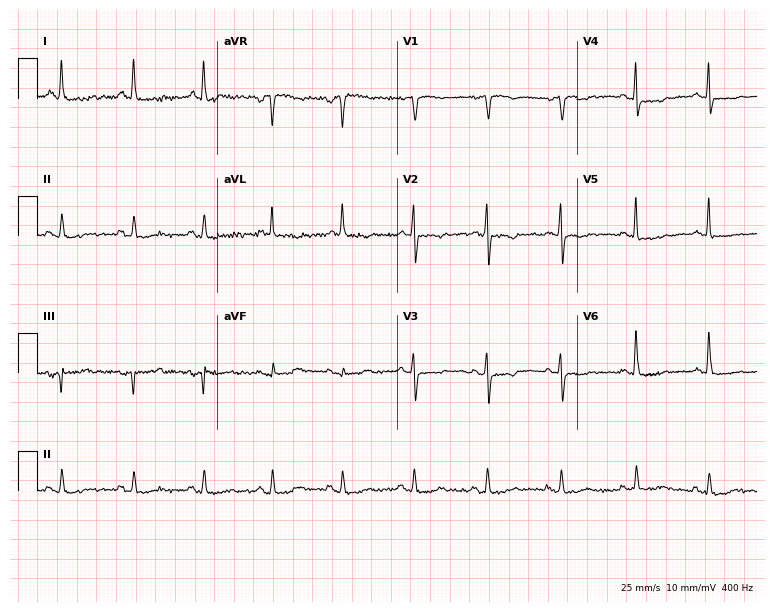
12-lead ECG from a woman, 69 years old (7.3-second recording at 400 Hz). No first-degree AV block, right bundle branch block (RBBB), left bundle branch block (LBBB), sinus bradycardia, atrial fibrillation (AF) or sinus tachycardia recorded for this tracing.